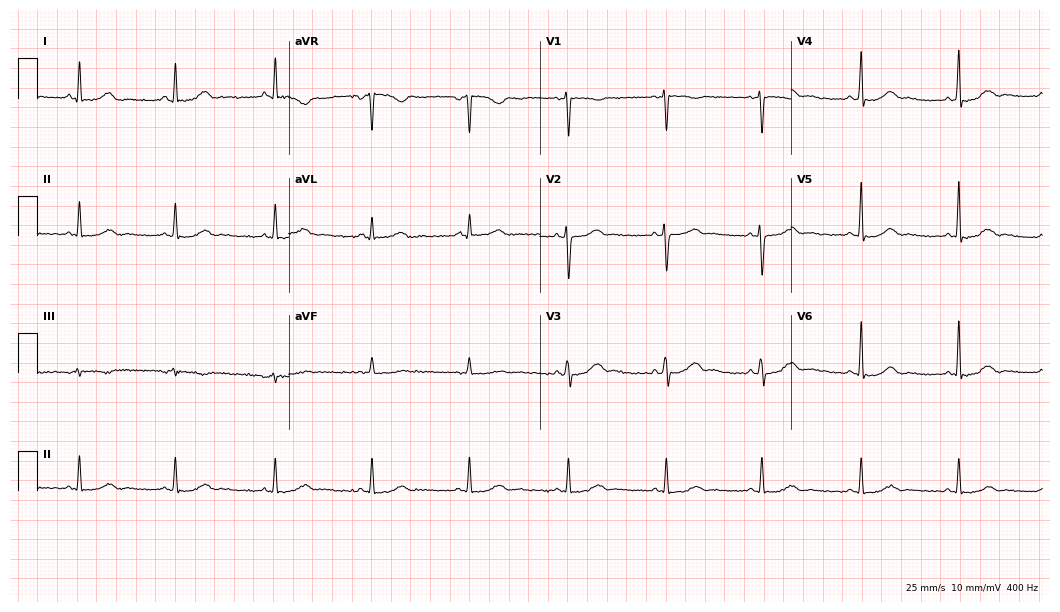
ECG (10.2-second recording at 400 Hz) — a 33-year-old female patient. Screened for six findings — first-degree AV block, right bundle branch block, left bundle branch block, sinus bradycardia, atrial fibrillation, sinus tachycardia — none is recorded.